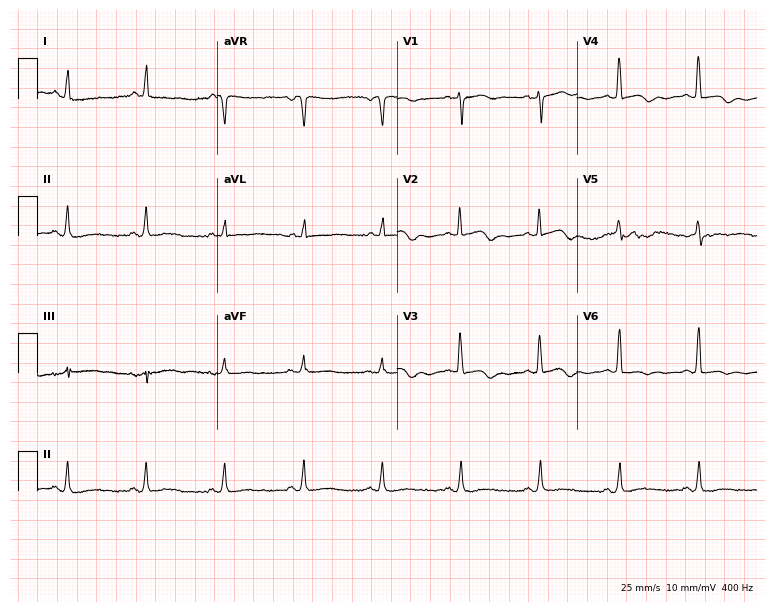
Standard 12-lead ECG recorded from a 78-year-old female patient. None of these six findings is recorded: first-degree AV block, right bundle branch block, left bundle branch block, sinus bradycardia, atrial fibrillation, sinus tachycardia.